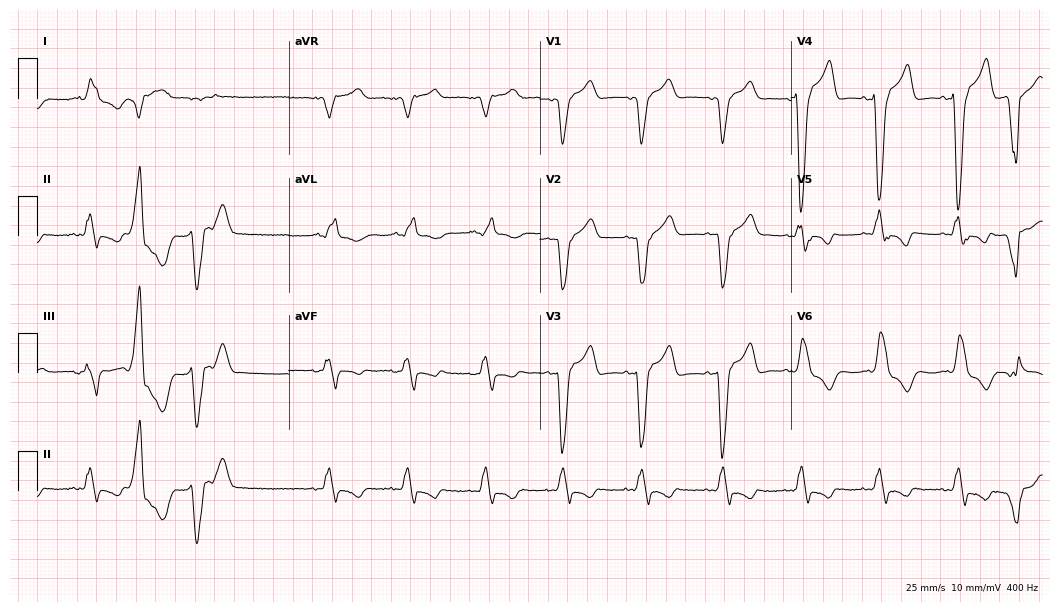
ECG — a man, 75 years old. Findings include left bundle branch block (LBBB).